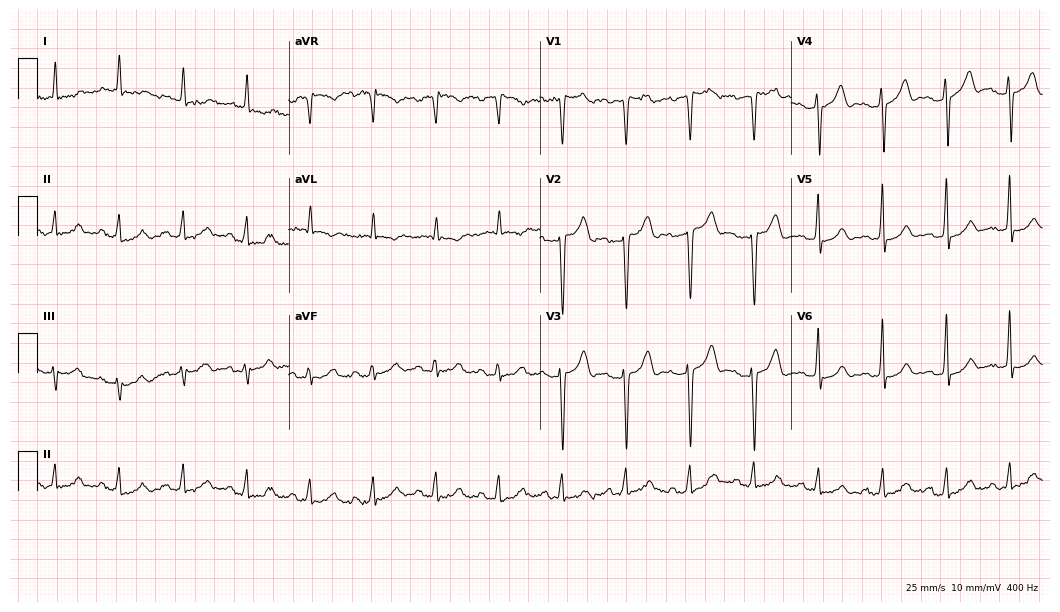
12-lead ECG (10.2-second recording at 400 Hz) from a female, 74 years old. Screened for six findings — first-degree AV block, right bundle branch block (RBBB), left bundle branch block (LBBB), sinus bradycardia, atrial fibrillation (AF), sinus tachycardia — none is recorded. Only these six findings were labelled.